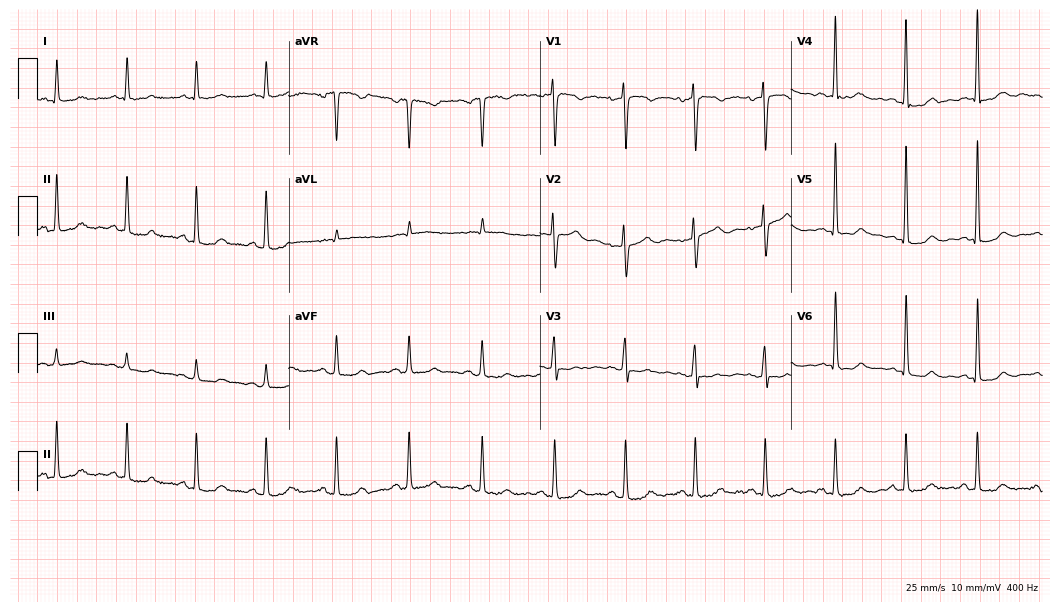
Electrocardiogram, a 63-year-old female patient. Overall reading on record: normal ECG.